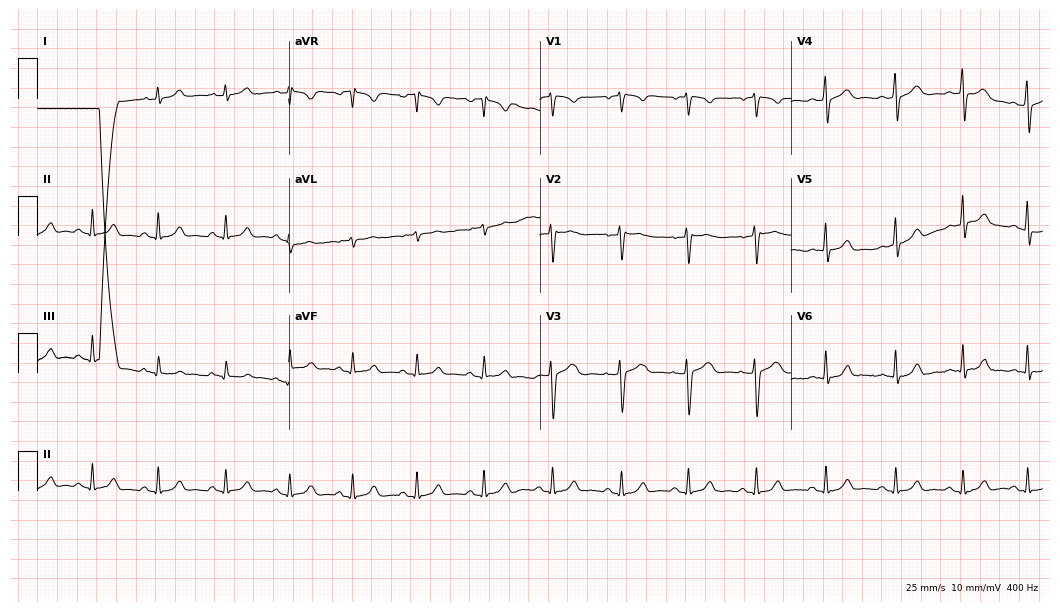
12-lead ECG from a 31-year-old female. Screened for six findings — first-degree AV block, right bundle branch block, left bundle branch block, sinus bradycardia, atrial fibrillation, sinus tachycardia — none is recorded. Findings outside these six are not listed.